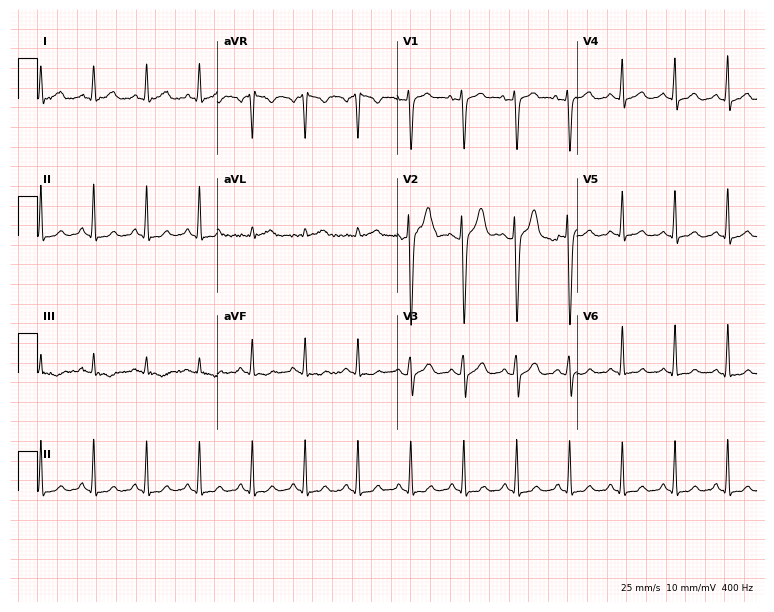
12-lead ECG (7.3-second recording at 400 Hz) from a female patient, 31 years old. Findings include sinus tachycardia (a sinus rate of 100 beats per minute or more).